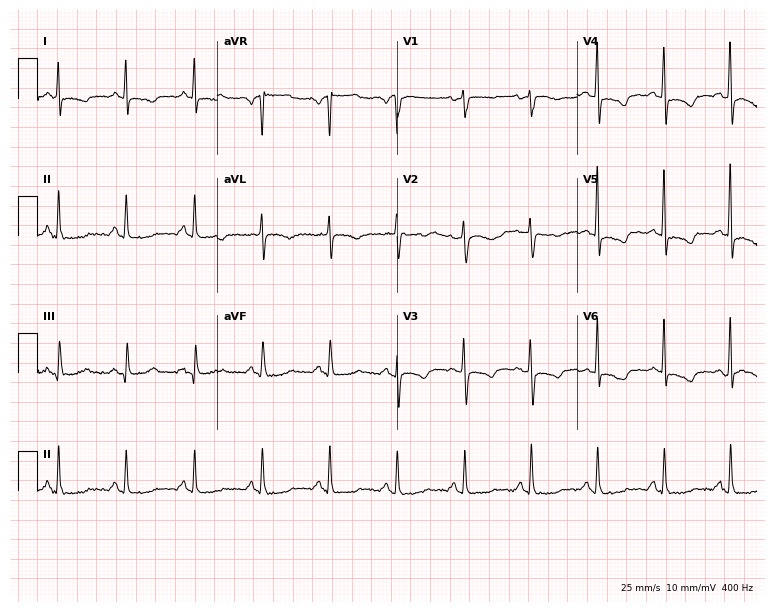
12-lead ECG from a woman, 57 years old (7.3-second recording at 400 Hz). No first-degree AV block, right bundle branch block, left bundle branch block, sinus bradycardia, atrial fibrillation or sinus tachycardia recorded for this tracing. Other findings, if any, are not listed.